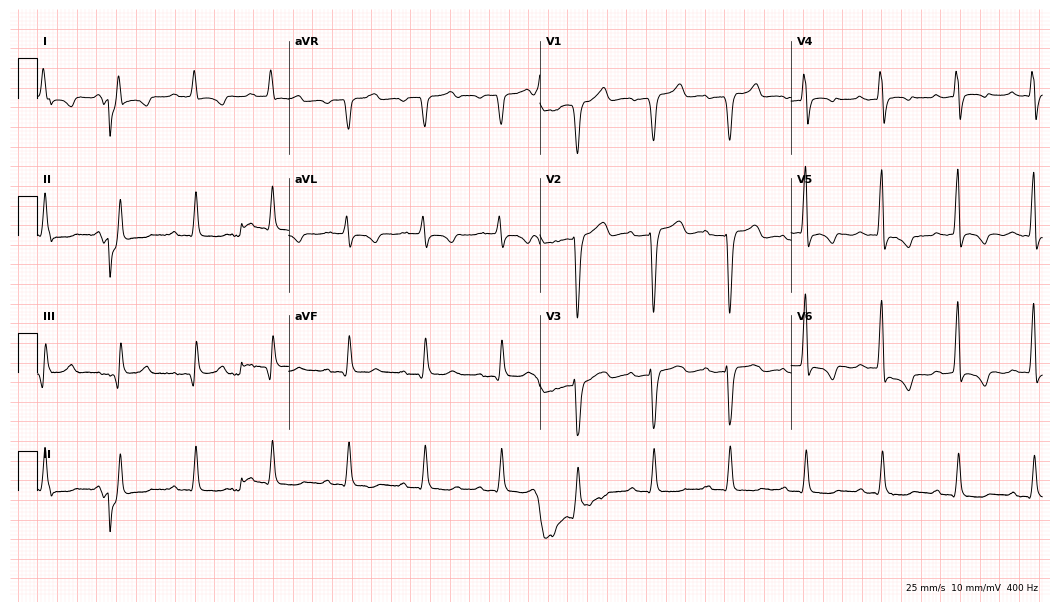
ECG (10.2-second recording at 400 Hz) — a man, 66 years old. Screened for six findings — first-degree AV block, right bundle branch block (RBBB), left bundle branch block (LBBB), sinus bradycardia, atrial fibrillation (AF), sinus tachycardia — none is recorded.